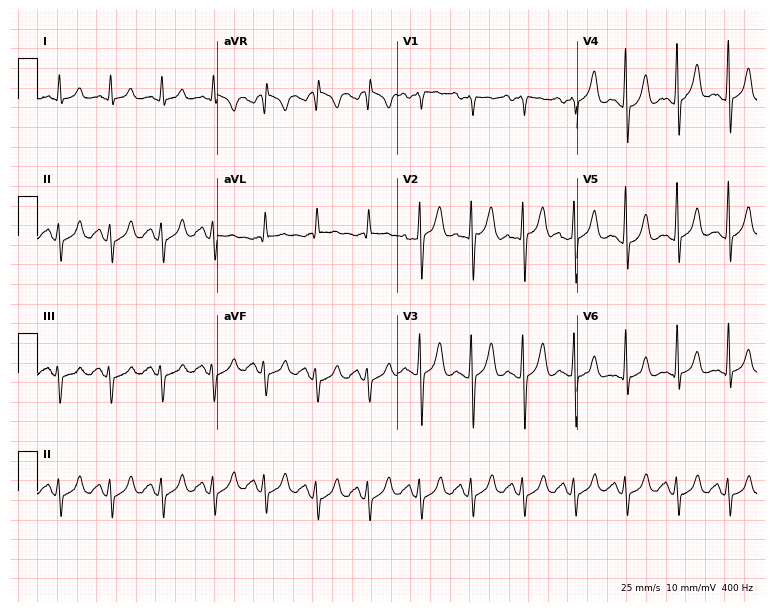
Standard 12-lead ECG recorded from a male patient, 63 years old. The tracing shows sinus tachycardia (a sinus rate of 100 beats per minute or more).